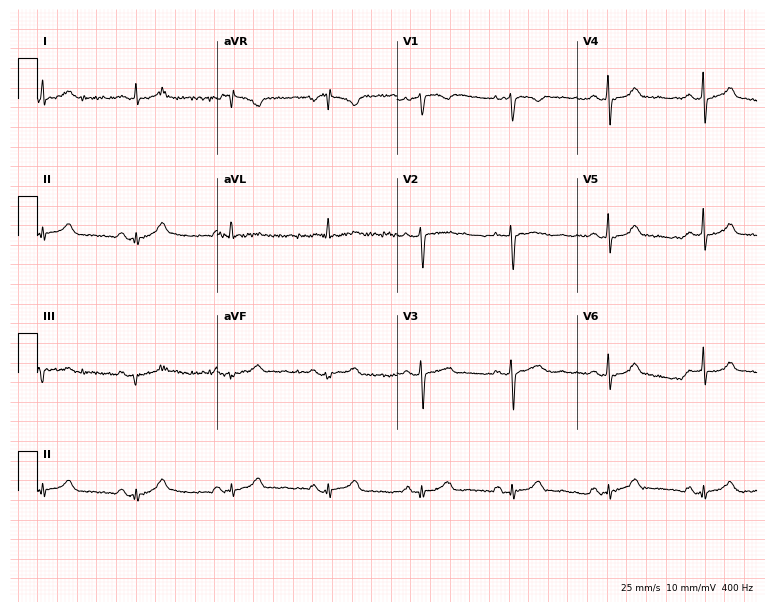
Standard 12-lead ECG recorded from a 52-year-old female patient (7.3-second recording at 400 Hz). None of these six findings is recorded: first-degree AV block, right bundle branch block, left bundle branch block, sinus bradycardia, atrial fibrillation, sinus tachycardia.